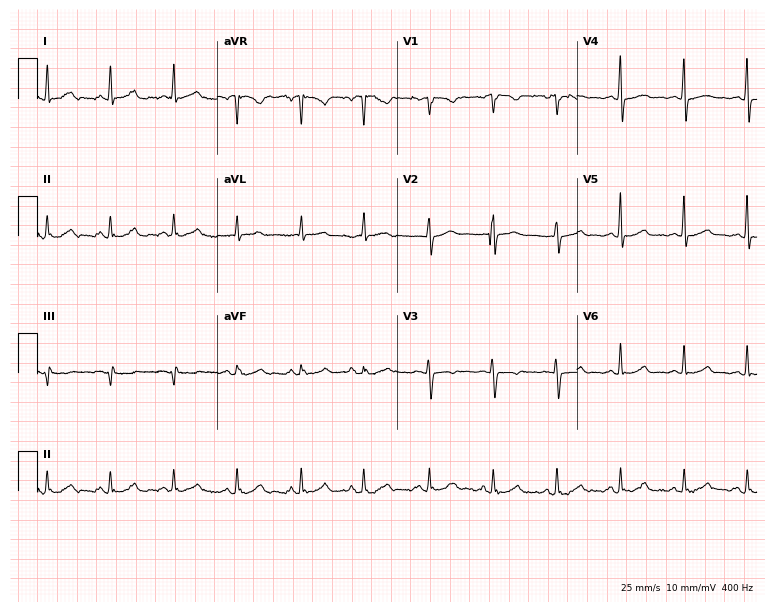
ECG (7.3-second recording at 400 Hz) — a female, 76 years old. Labelled as a normal ECG.